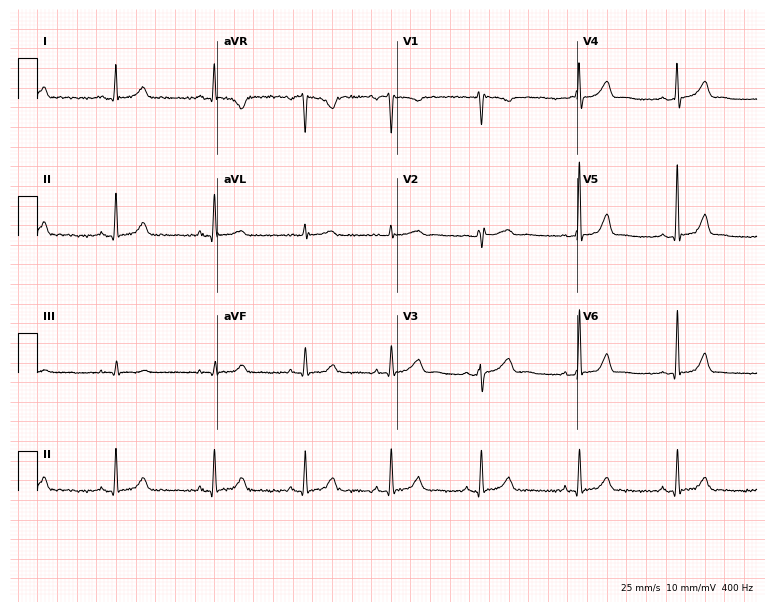
12-lead ECG from a female, 31 years old. No first-degree AV block, right bundle branch block, left bundle branch block, sinus bradycardia, atrial fibrillation or sinus tachycardia recorded for this tracing. Only these six findings were labelled.